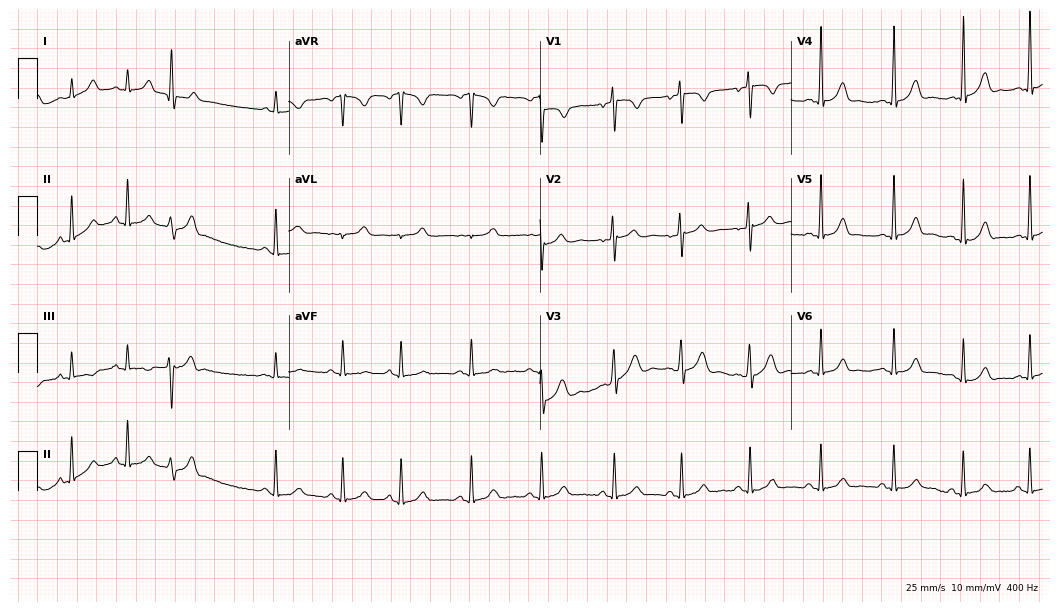
ECG (10.2-second recording at 400 Hz) — a female patient, 17 years old. Labelled as a normal ECG.